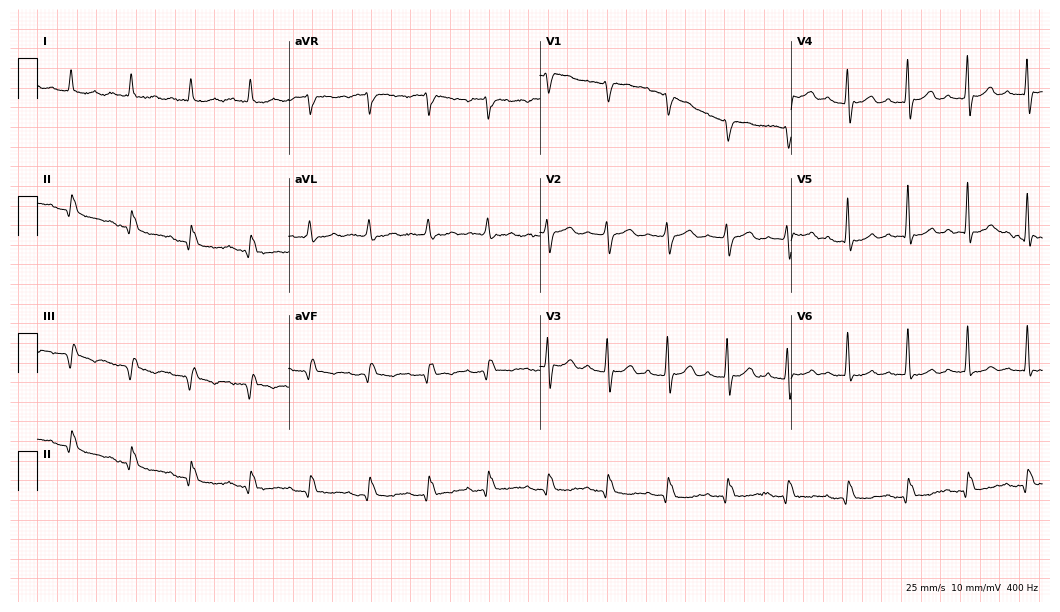
Electrocardiogram (10.2-second recording at 400 Hz), a man, 84 years old. Interpretation includes first-degree AV block.